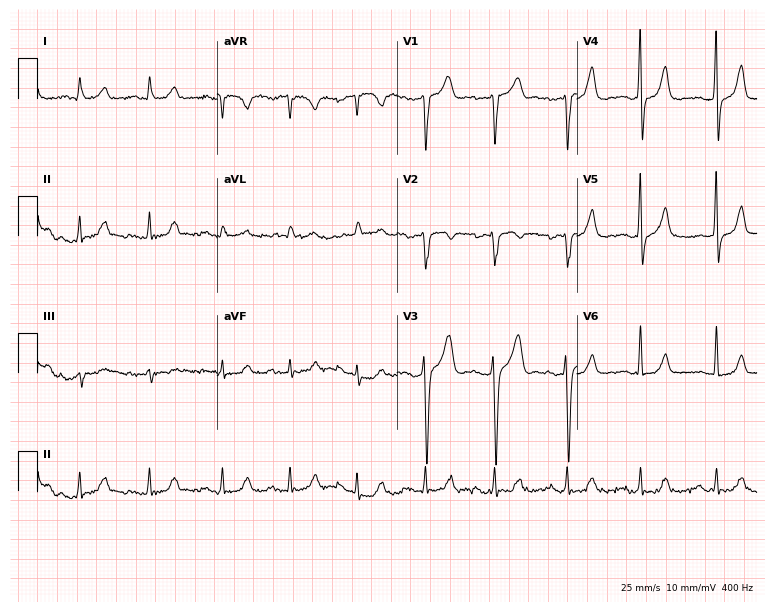
12-lead ECG from a 34-year-old male. Recorded interpretation: within normal limits.